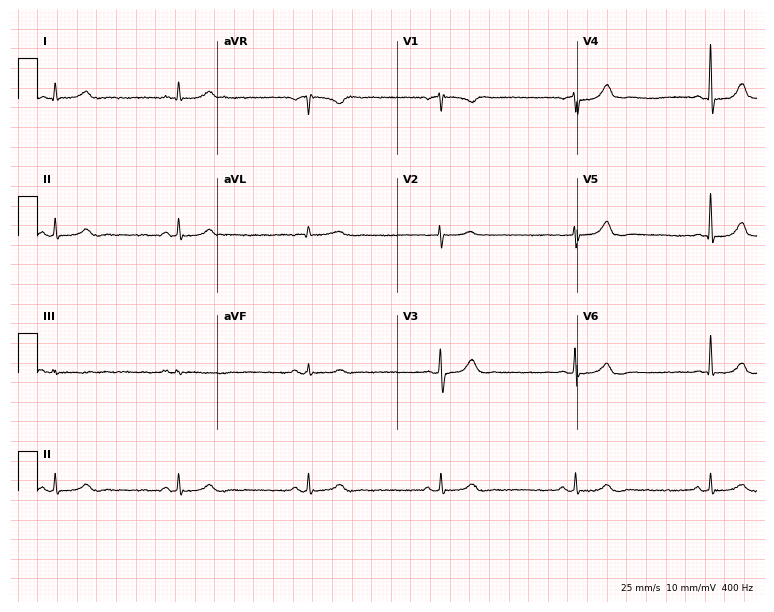
Resting 12-lead electrocardiogram (7.3-second recording at 400 Hz). Patient: a 58-year-old male. None of these six findings is recorded: first-degree AV block, right bundle branch block, left bundle branch block, sinus bradycardia, atrial fibrillation, sinus tachycardia. Only these six findings were labelled.